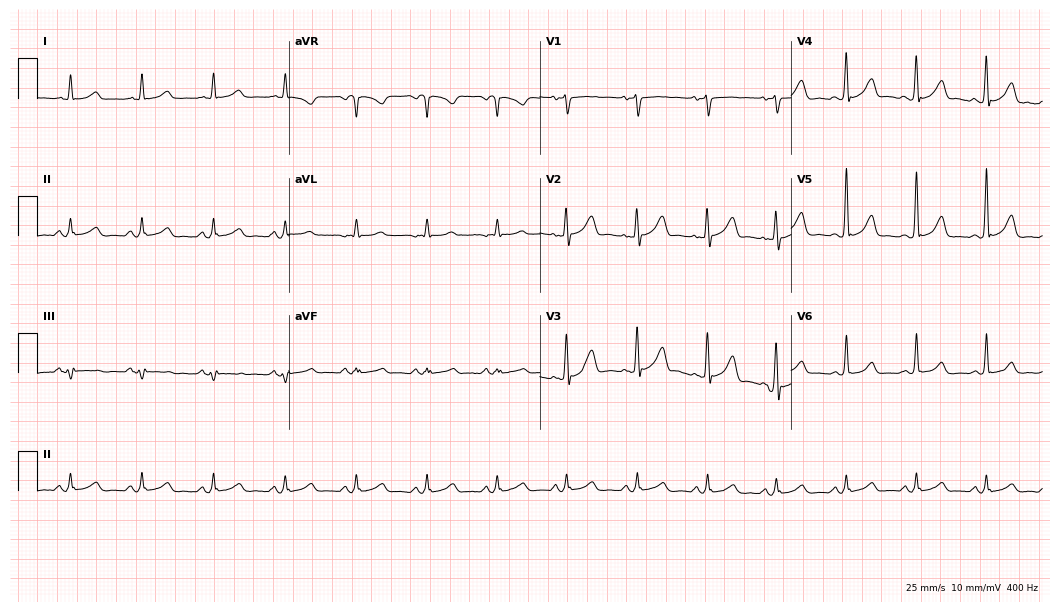
12-lead ECG from a male patient, 56 years old (10.2-second recording at 400 Hz). Recorded interpretation: within normal limits.